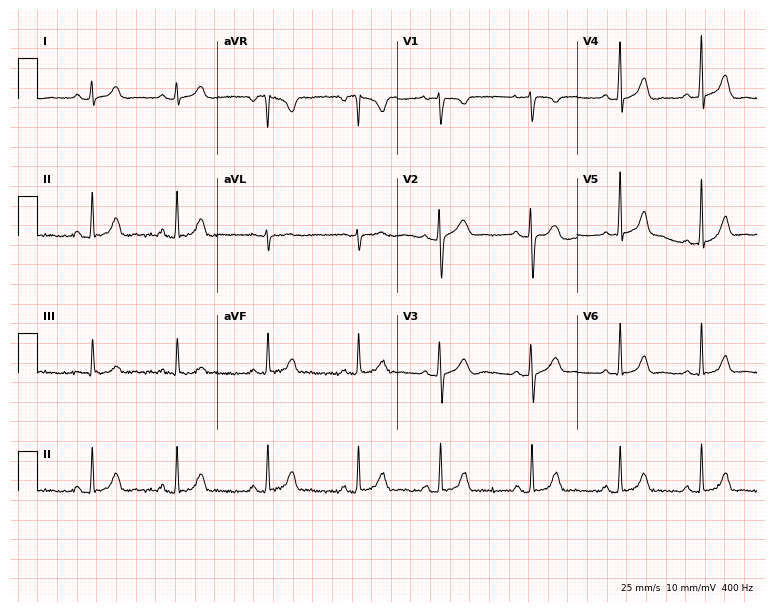
Standard 12-lead ECG recorded from a 17-year-old woman (7.3-second recording at 400 Hz). None of these six findings is recorded: first-degree AV block, right bundle branch block, left bundle branch block, sinus bradycardia, atrial fibrillation, sinus tachycardia.